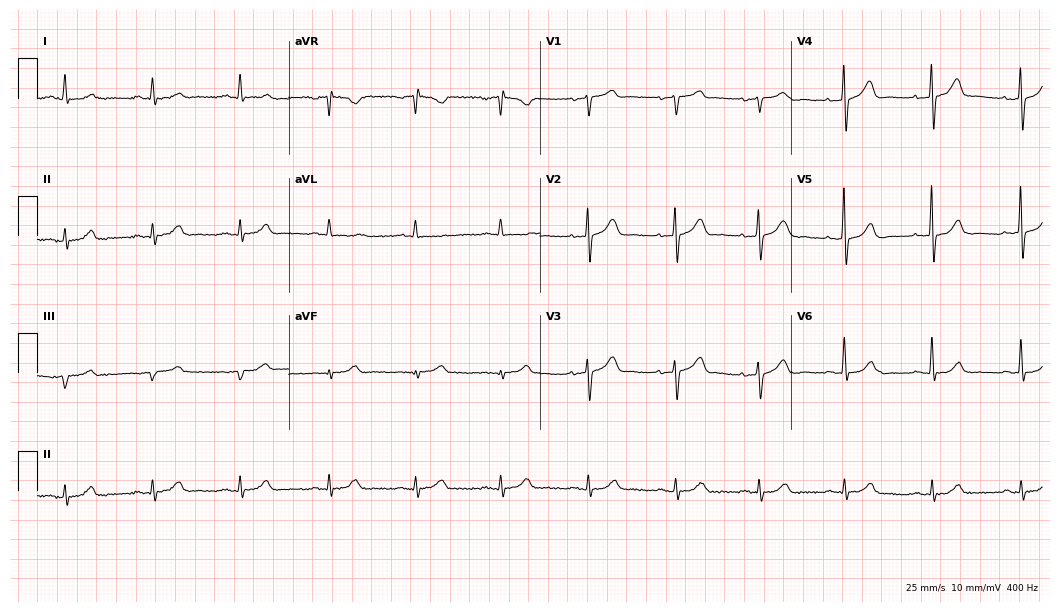
Resting 12-lead electrocardiogram (10.2-second recording at 400 Hz). Patient: a man, 68 years old. Read as a normal ECG.